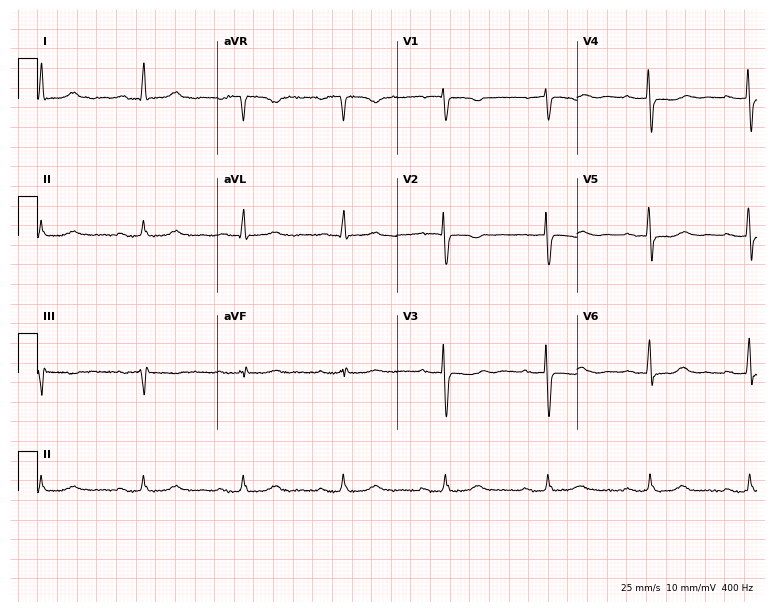
12-lead ECG from a woman, 69 years old. Screened for six findings — first-degree AV block, right bundle branch block (RBBB), left bundle branch block (LBBB), sinus bradycardia, atrial fibrillation (AF), sinus tachycardia — none is recorded. Only these six findings were labelled.